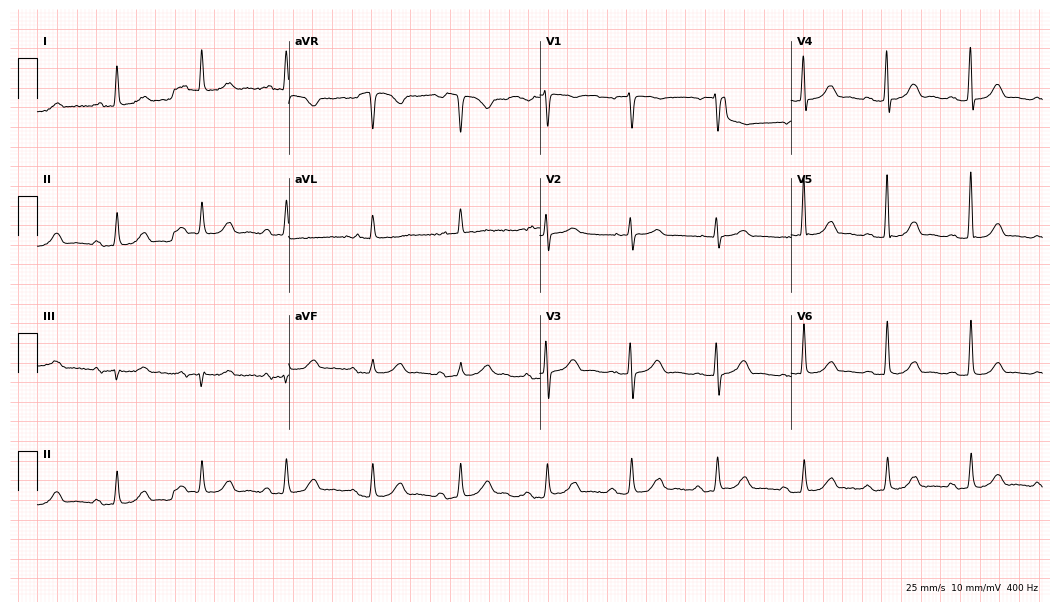
Standard 12-lead ECG recorded from a female patient, 77 years old (10.2-second recording at 400 Hz). Read as a normal ECG.